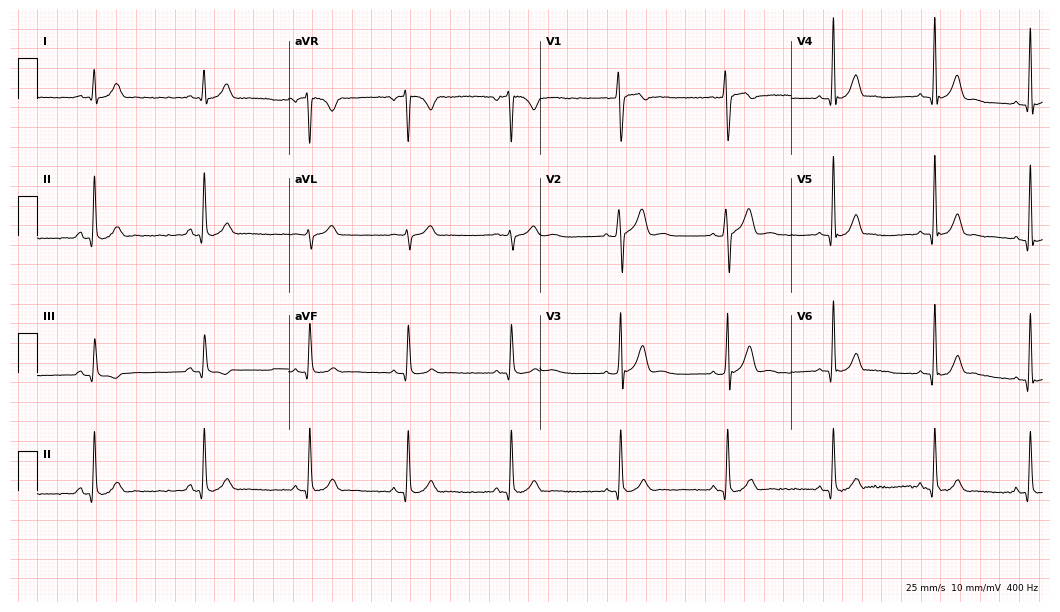
Resting 12-lead electrocardiogram. Patient: a male, 20 years old. Read as a normal ECG.